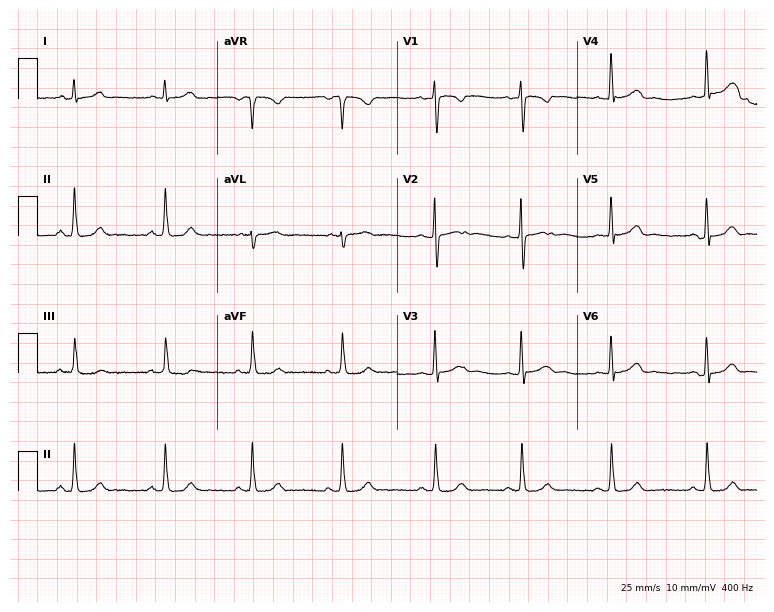
ECG — a 22-year-old woman. Screened for six findings — first-degree AV block, right bundle branch block, left bundle branch block, sinus bradycardia, atrial fibrillation, sinus tachycardia — none is recorded.